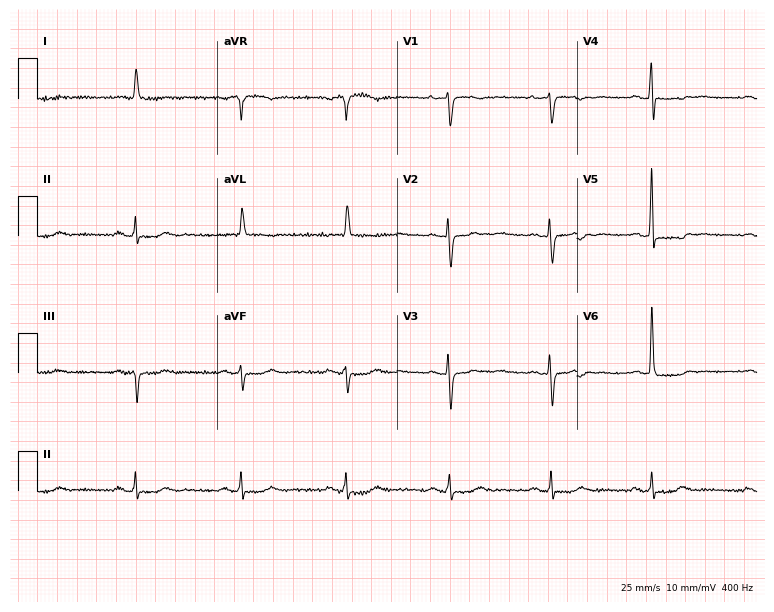
Standard 12-lead ECG recorded from a female patient, 78 years old. None of these six findings is recorded: first-degree AV block, right bundle branch block, left bundle branch block, sinus bradycardia, atrial fibrillation, sinus tachycardia.